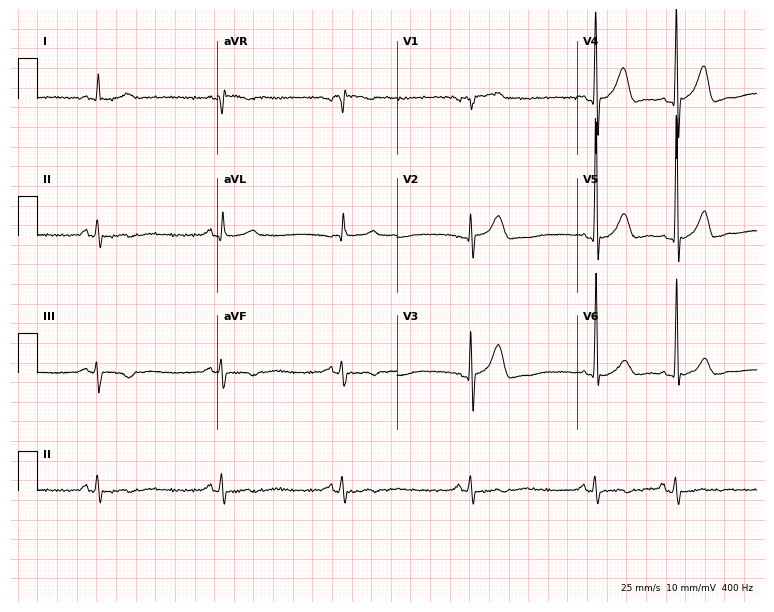
Standard 12-lead ECG recorded from an 81-year-old male patient (7.3-second recording at 400 Hz). The tracing shows sinus bradycardia (a sinus rate of 50 beats per minute or less).